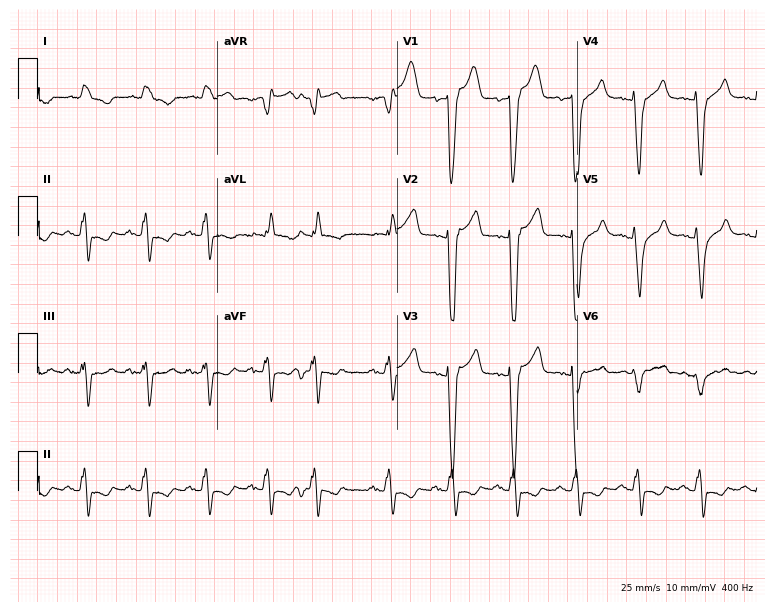
Standard 12-lead ECG recorded from a male patient, 82 years old. The tracing shows left bundle branch block (LBBB).